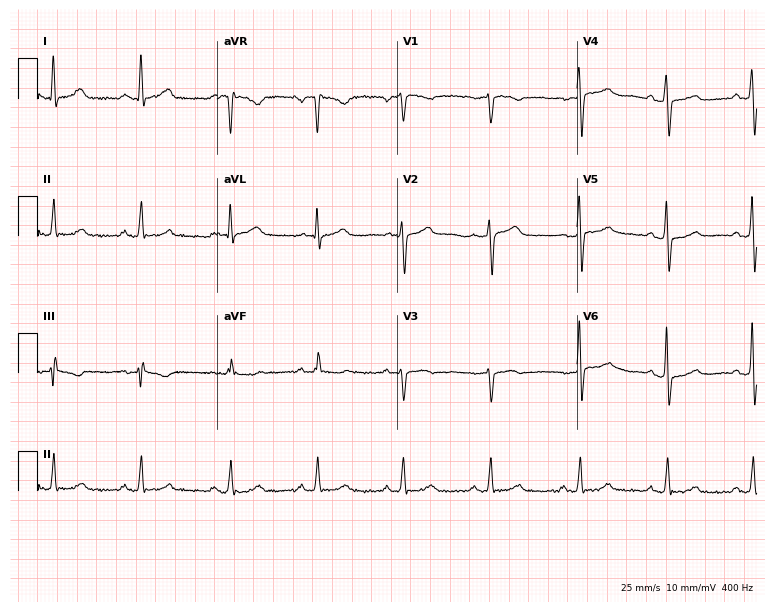
Electrocardiogram (7.3-second recording at 400 Hz), a female patient, 52 years old. Overall reading on record: normal ECG.